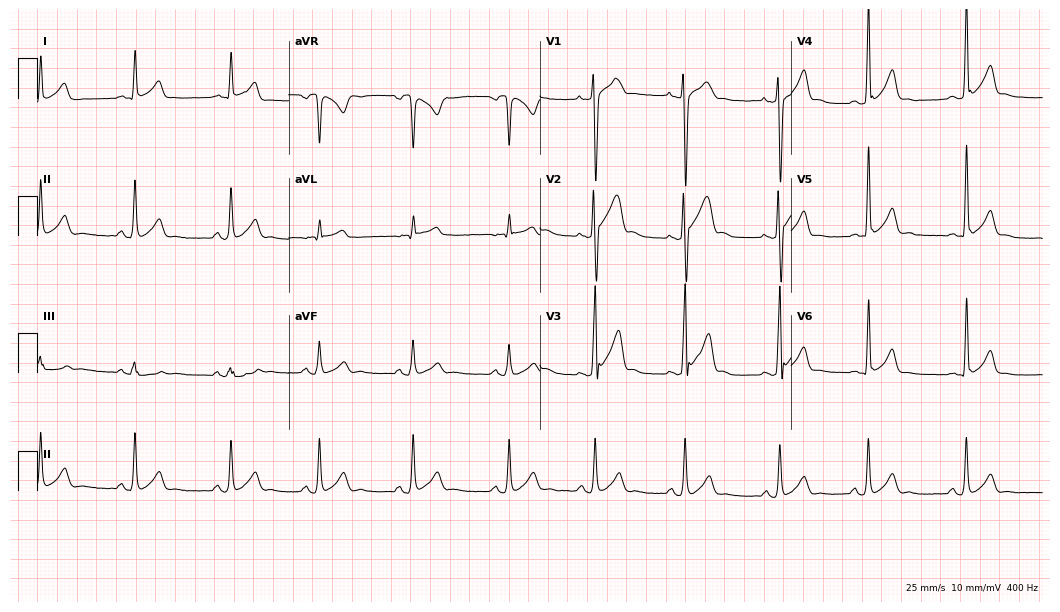
Electrocardiogram, a male patient, 17 years old. Of the six screened findings (first-degree AV block, right bundle branch block (RBBB), left bundle branch block (LBBB), sinus bradycardia, atrial fibrillation (AF), sinus tachycardia), none is recorded.